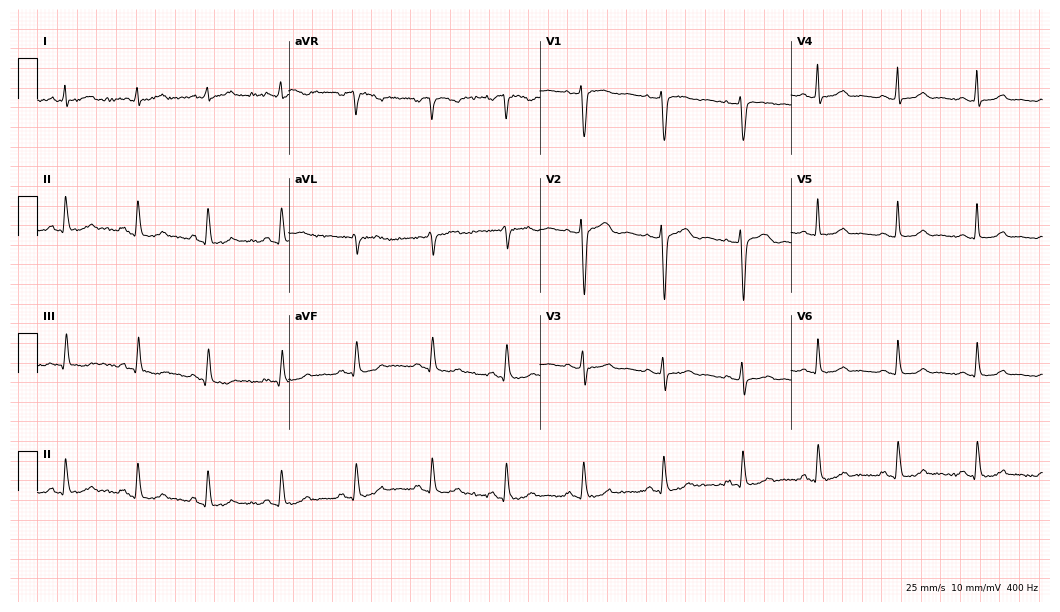
12-lead ECG from a female patient, 39 years old. Labelled as a normal ECG.